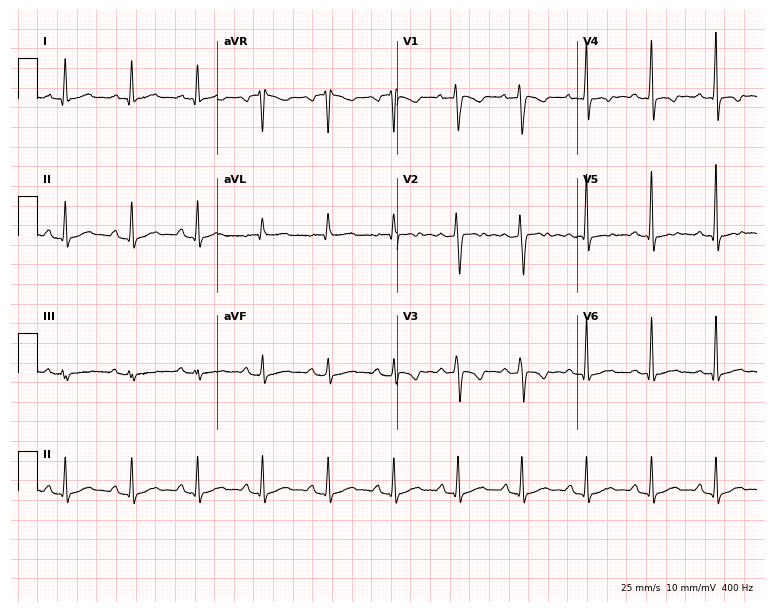
Standard 12-lead ECG recorded from a female patient, 37 years old (7.3-second recording at 400 Hz). None of these six findings is recorded: first-degree AV block, right bundle branch block, left bundle branch block, sinus bradycardia, atrial fibrillation, sinus tachycardia. Findings outside these six are not listed.